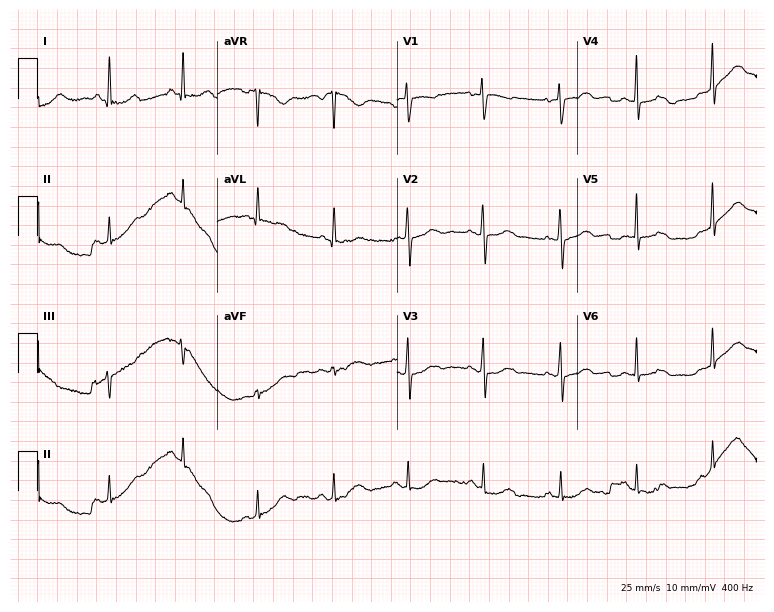
Standard 12-lead ECG recorded from a woman, 65 years old (7.3-second recording at 400 Hz). Read as a normal ECG.